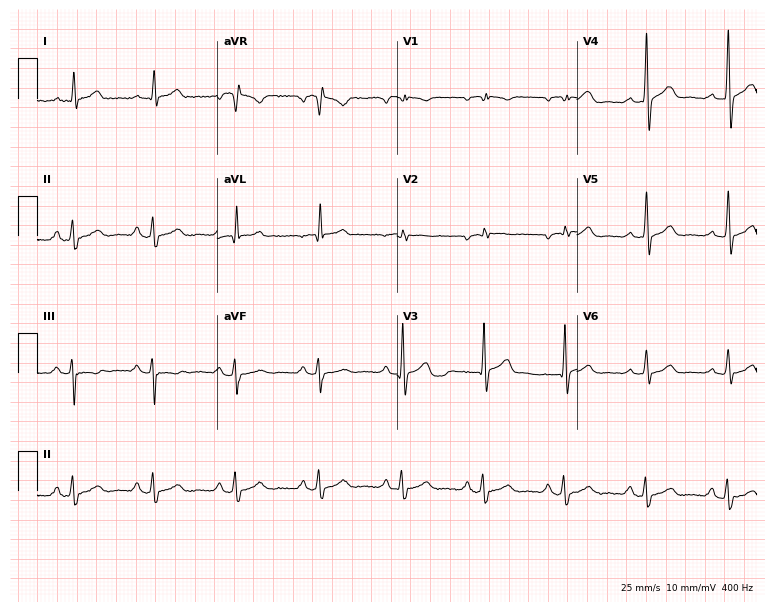
ECG — a man, 60 years old. Screened for six findings — first-degree AV block, right bundle branch block, left bundle branch block, sinus bradycardia, atrial fibrillation, sinus tachycardia — none is recorded. Other findings, if any, are not listed.